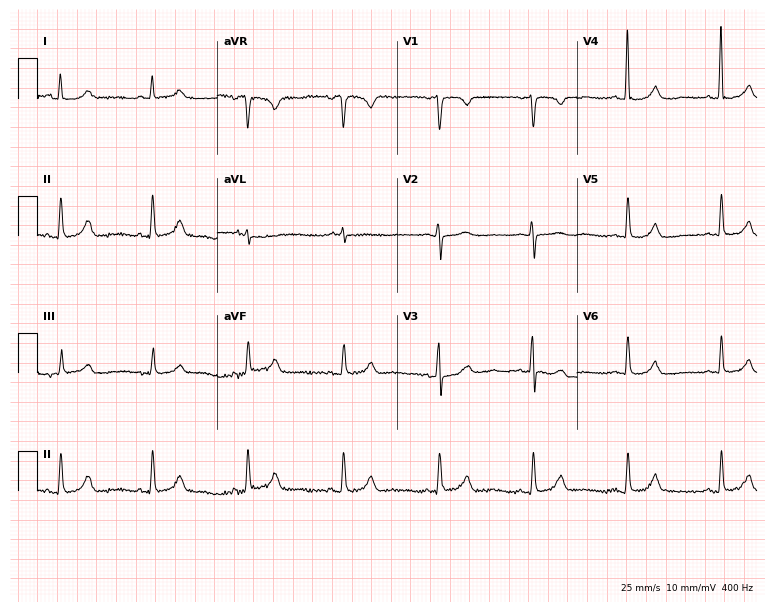
12-lead ECG from a 75-year-old female patient (7.3-second recording at 400 Hz). No first-degree AV block, right bundle branch block (RBBB), left bundle branch block (LBBB), sinus bradycardia, atrial fibrillation (AF) or sinus tachycardia recorded for this tracing. Other findings, if any, are not listed.